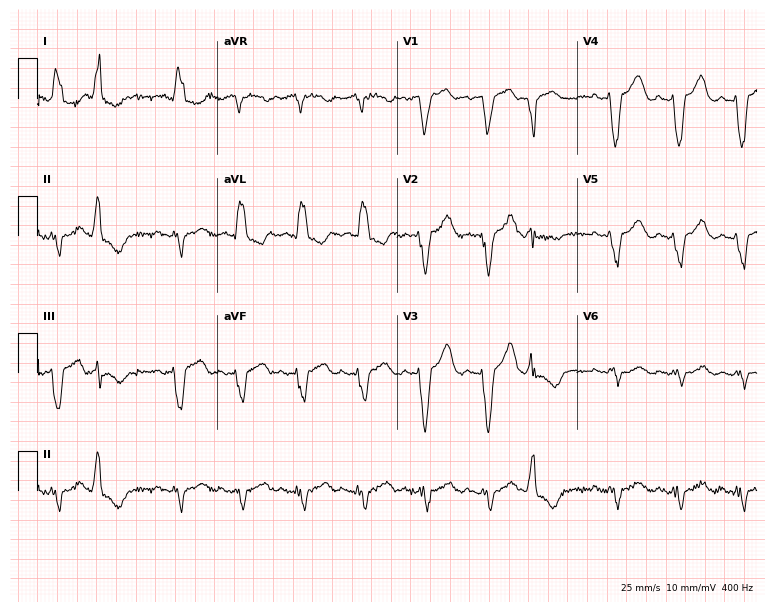
12-lead ECG from a 66-year-old woman. Findings include left bundle branch block.